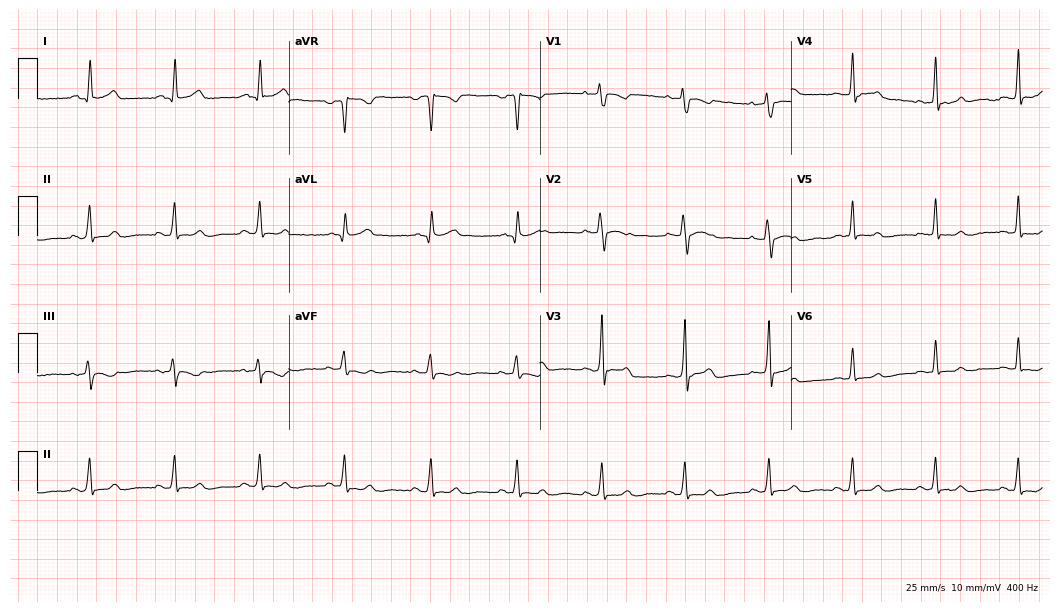
Electrocardiogram, a male patient, 41 years old. Overall reading on record: normal ECG.